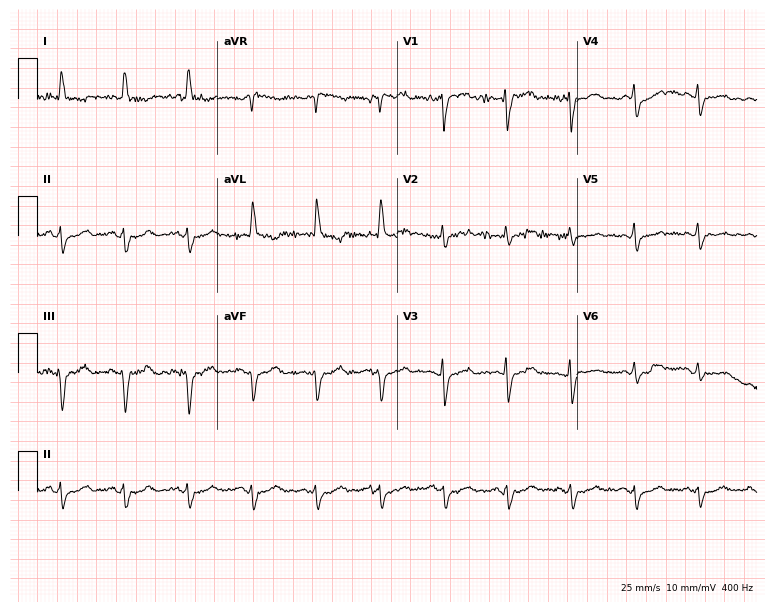
Standard 12-lead ECG recorded from a 64-year-old woman. None of these six findings is recorded: first-degree AV block, right bundle branch block, left bundle branch block, sinus bradycardia, atrial fibrillation, sinus tachycardia.